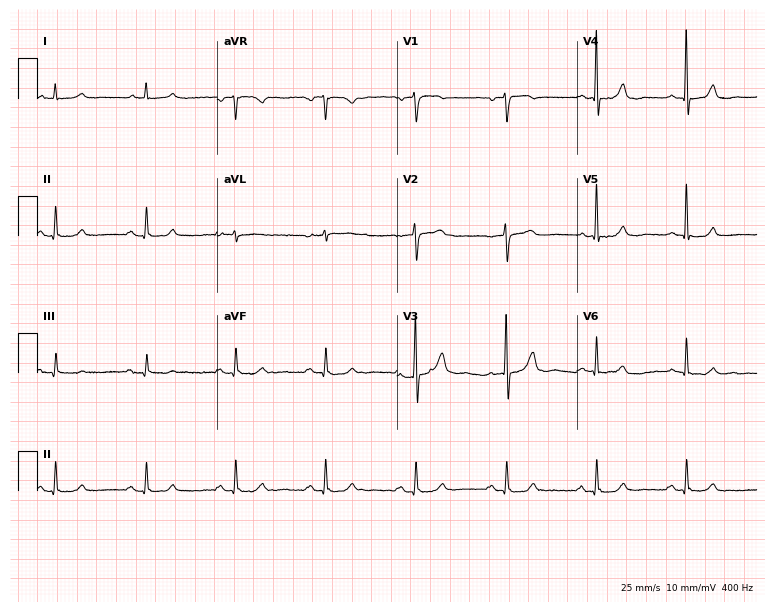
Standard 12-lead ECG recorded from an 80-year-old male patient (7.3-second recording at 400 Hz). Read as a normal ECG.